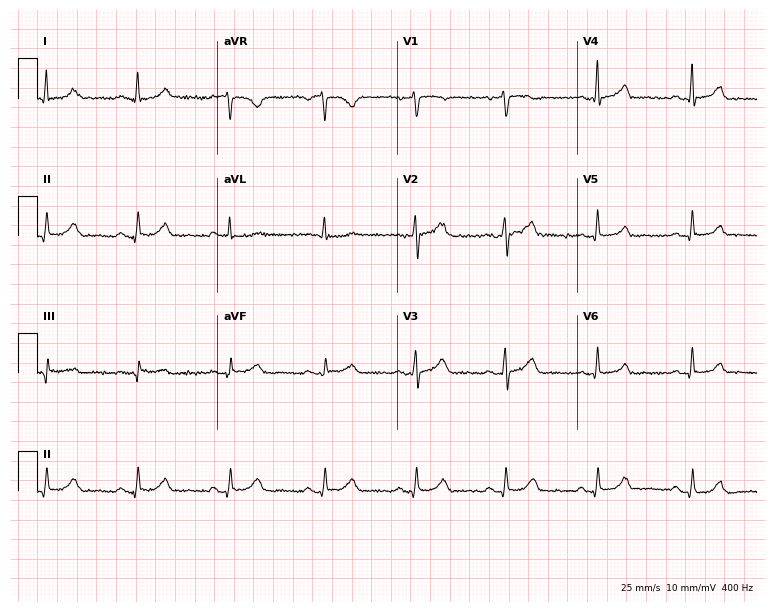
12-lead ECG from a male patient, 65 years old. Labelled as a normal ECG.